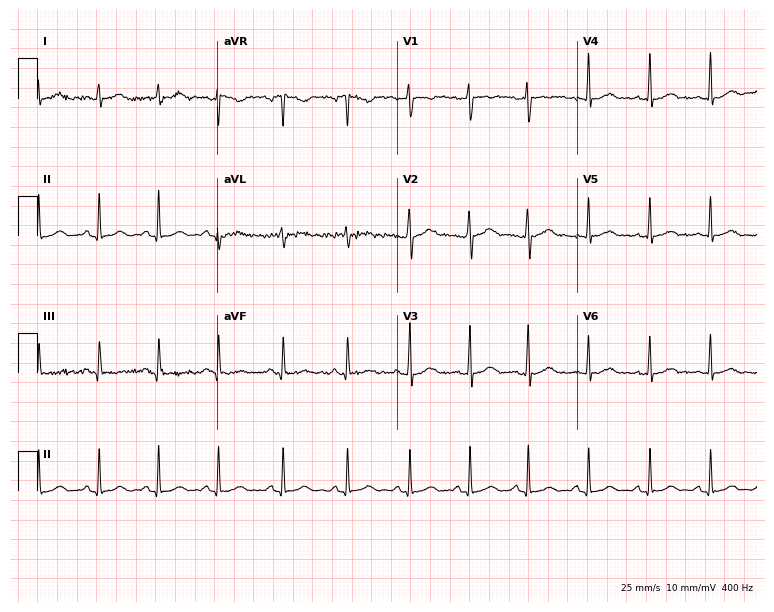
Standard 12-lead ECG recorded from a female, 23 years old. None of these six findings is recorded: first-degree AV block, right bundle branch block, left bundle branch block, sinus bradycardia, atrial fibrillation, sinus tachycardia.